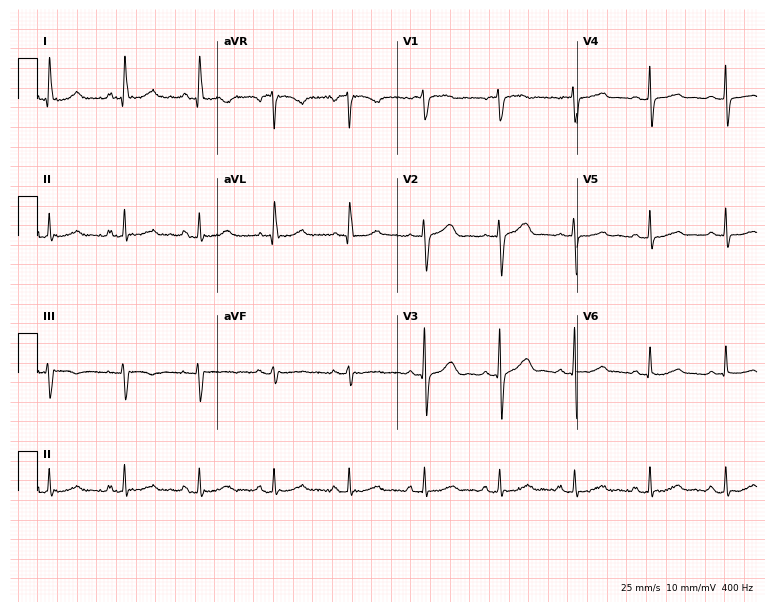
12-lead ECG from a female patient, 84 years old (7.3-second recording at 400 Hz). Recorded interpretation: within normal limits.